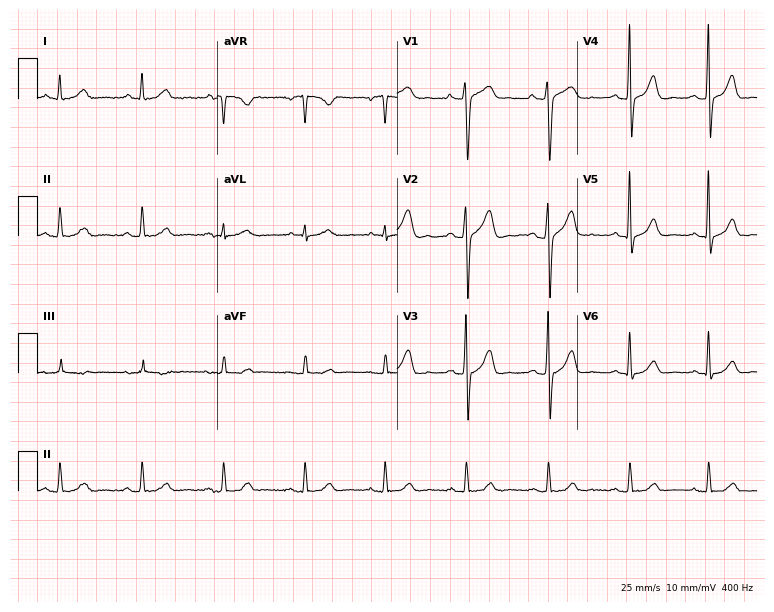
Electrocardiogram (7.3-second recording at 400 Hz), a 41-year-old male patient. Overall reading on record: normal ECG.